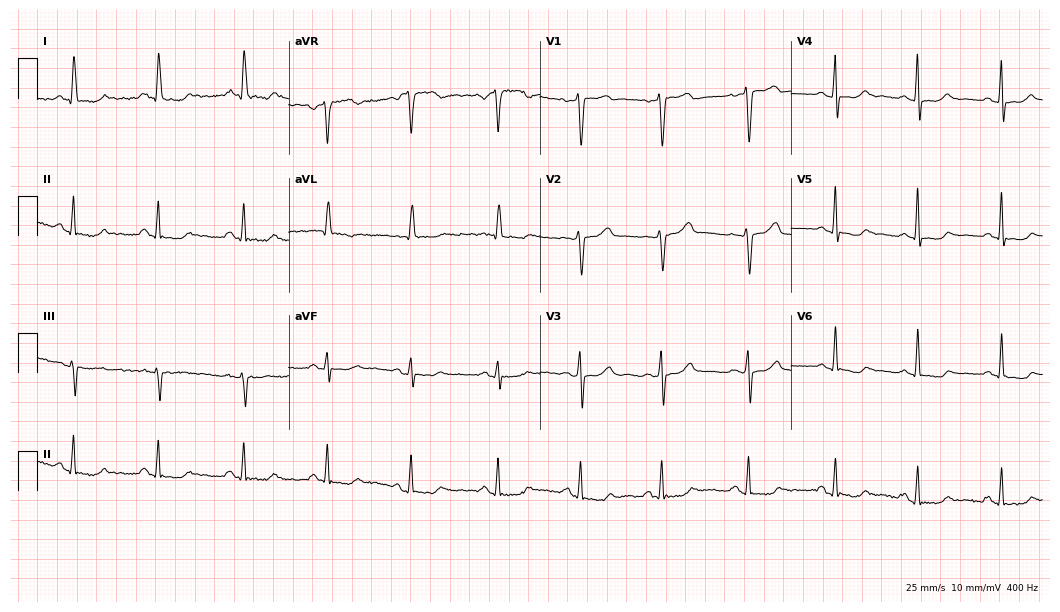
12-lead ECG from a female patient, 55 years old (10.2-second recording at 400 Hz). No first-degree AV block, right bundle branch block, left bundle branch block, sinus bradycardia, atrial fibrillation or sinus tachycardia recorded for this tracing. Other findings, if any, are not listed.